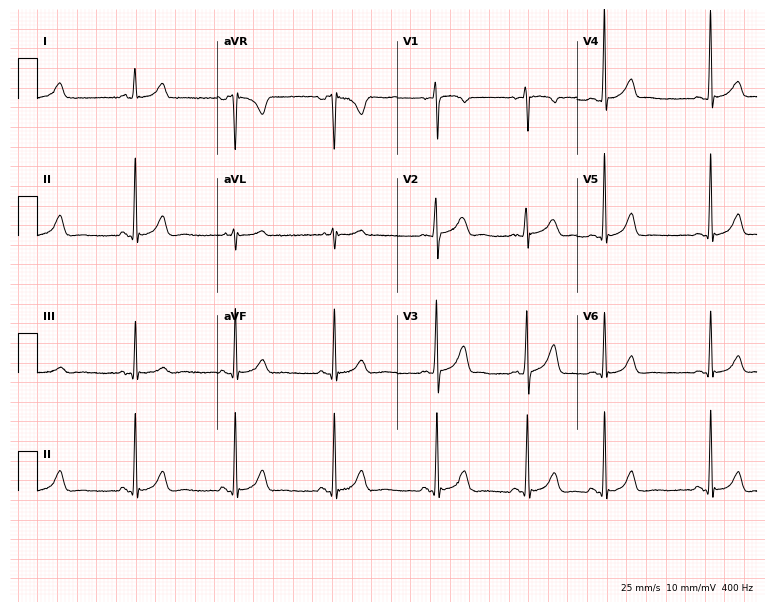
12-lead ECG from a 19-year-old female patient (7.3-second recording at 400 Hz). Recorded interpretation: within normal limits.